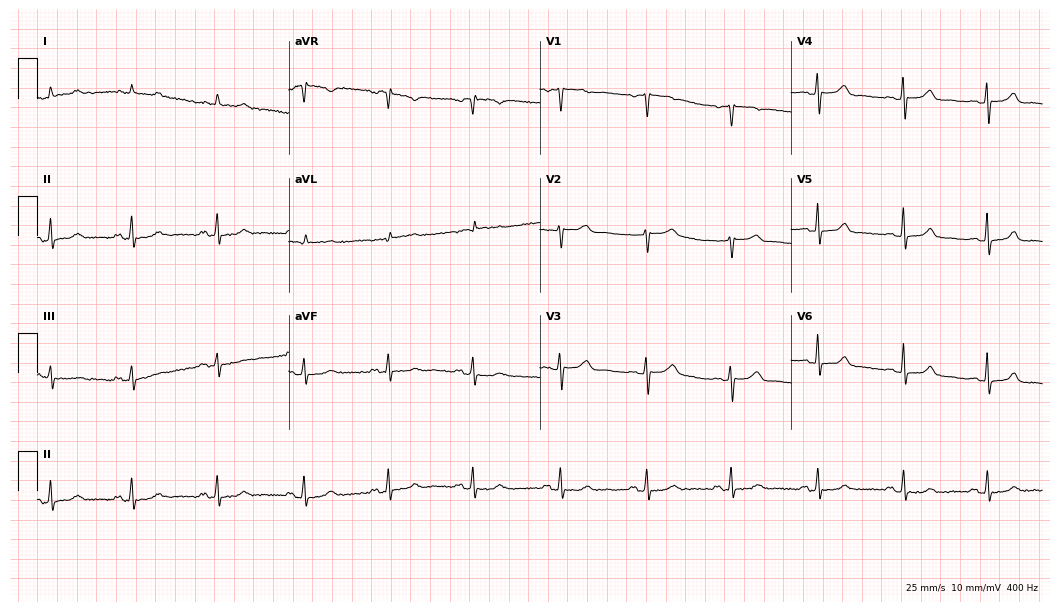
ECG (10.2-second recording at 400 Hz) — a 55-year-old female patient. Labelled as a normal ECG.